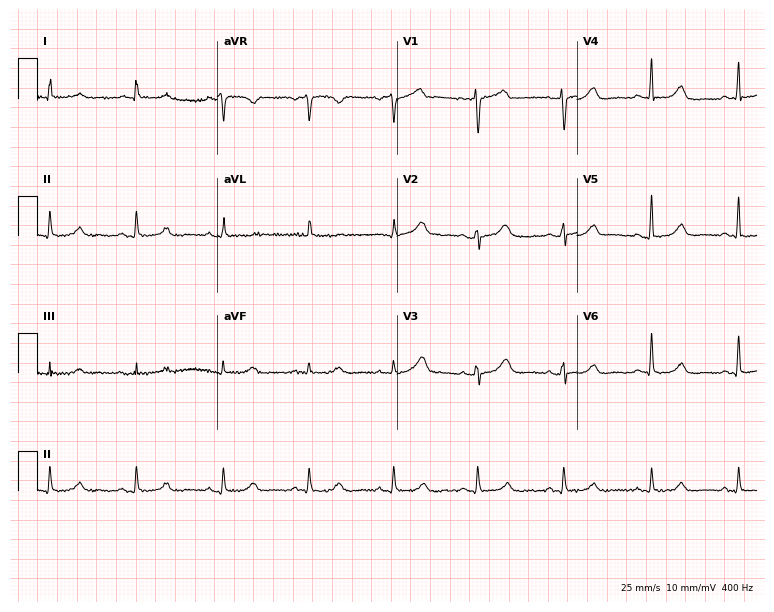
Electrocardiogram (7.3-second recording at 400 Hz), a woman, 53 years old. Overall reading on record: normal ECG.